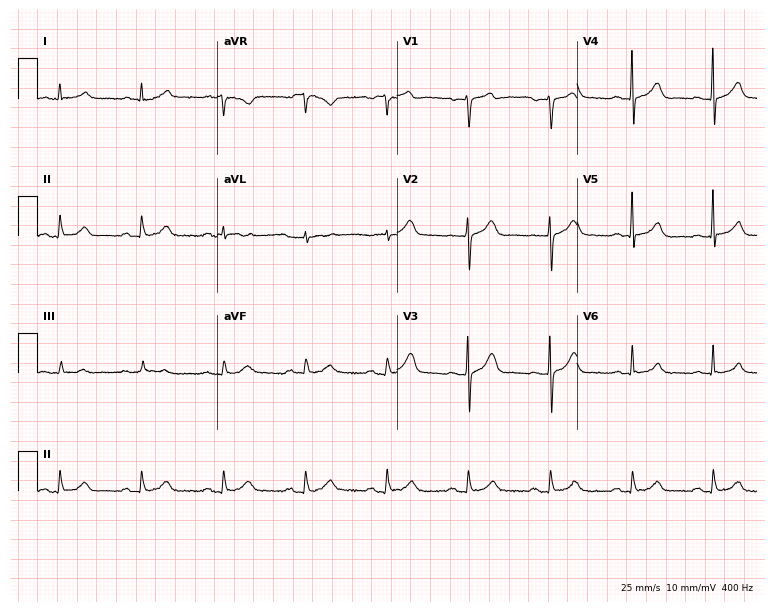
ECG — a 77-year-old man. Screened for six findings — first-degree AV block, right bundle branch block (RBBB), left bundle branch block (LBBB), sinus bradycardia, atrial fibrillation (AF), sinus tachycardia — none is recorded. Only these six findings were labelled.